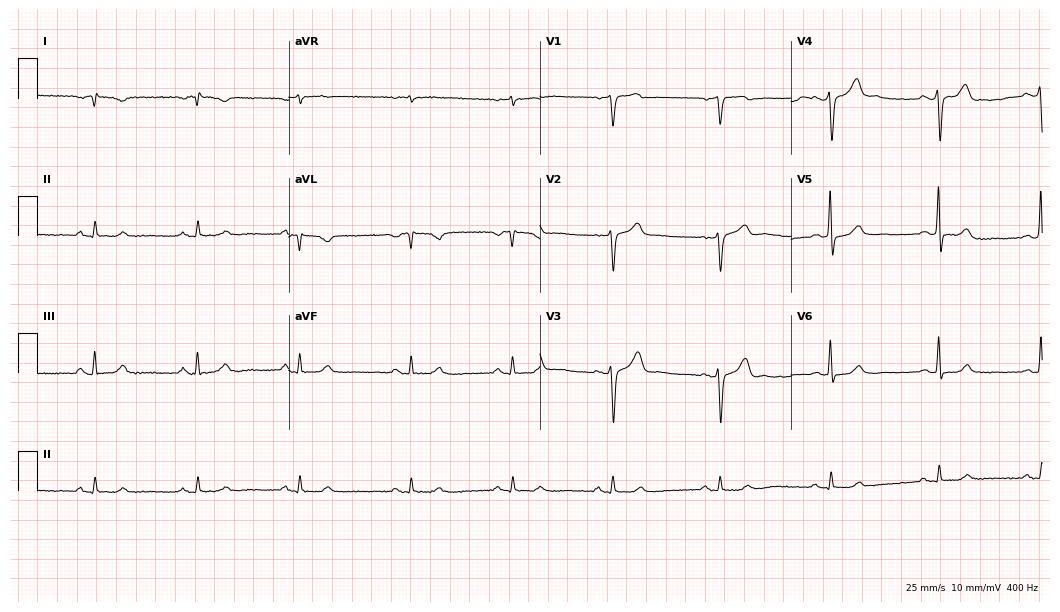
12-lead ECG from a 73-year-old female. No first-degree AV block, right bundle branch block, left bundle branch block, sinus bradycardia, atrial fibrillation or sinus tachycardia recorded for this tracing.